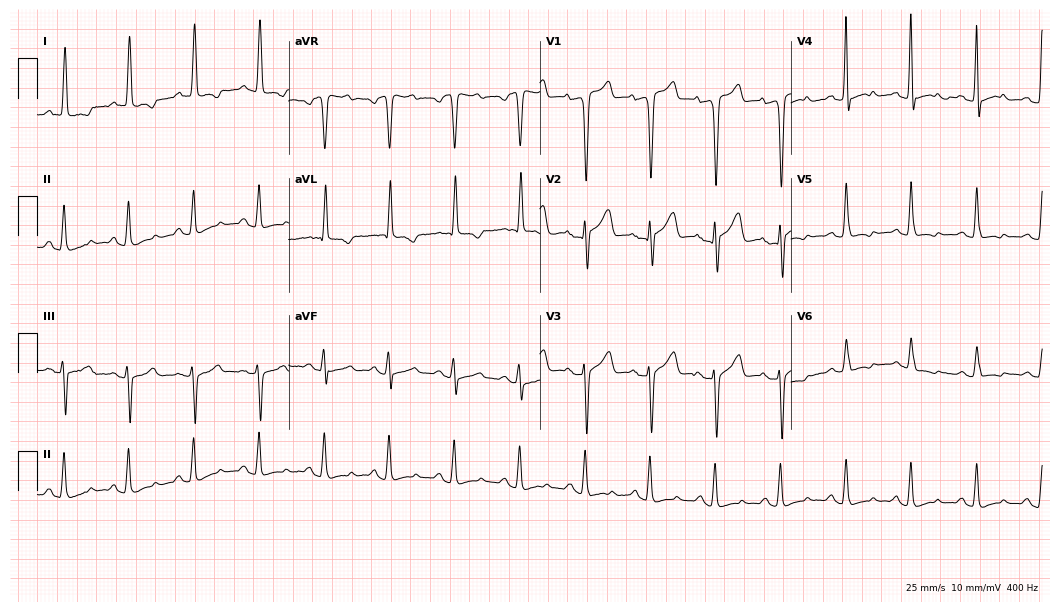
Electrocardiogram (10.2-second recording at 400 Hz), a female patient, 62 years old. Of the six screened findings (first-degree AV block, right bundle branch block (RBBB), left bundle branch block (LBBB), sinus bradycardia, atrial fibrillation (AF), sinus tachycardia), none is recorded. Findings outside these six are not listed.